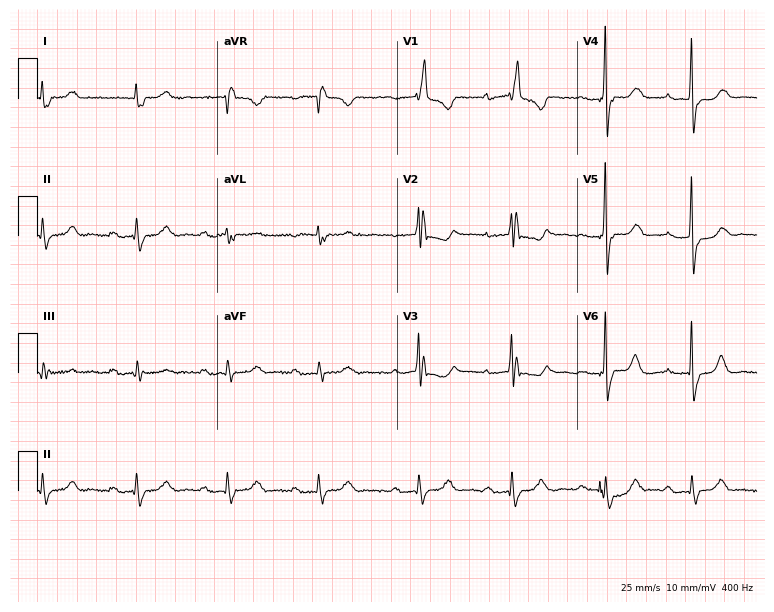
12-lead ECG from a female, 84 years old (7.3-second recording at 400 Hz). Shows right bundle branch block.